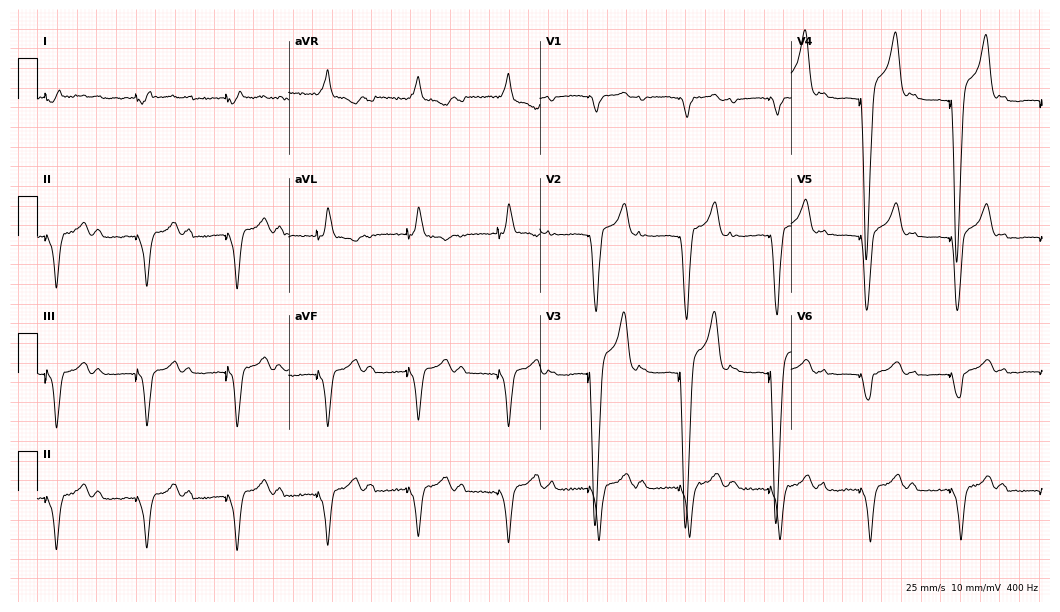
12-lead ECG (10.2-second recording at 400 Hz) from a 57-year-old male patient. Screened for six findings — first-degree AV block, right bundle branch block (RBBB), left bundle branch block (LBBB), sinus bradycardia, atrial fibrillation (AF), sinus tachycardia — none is recorded. Other findings, if any, are not listed.